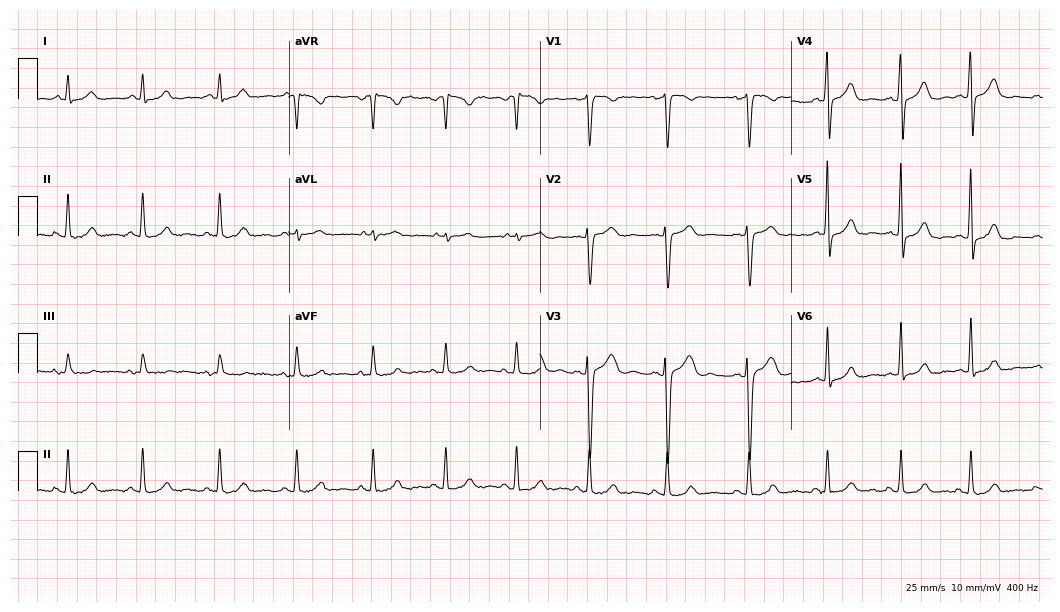
12-lead ECG from a 24-year-old female patient (10.2-second recording at 400 Hz). Recorded interpretation: within normal limits.